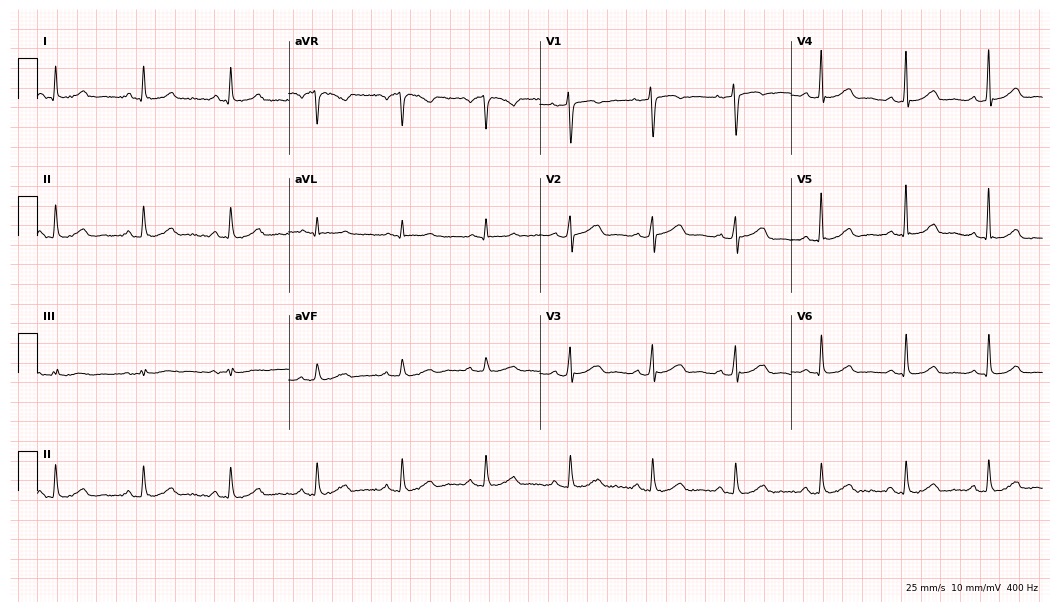
Resting 12-lead electrocardiogram. Patient: a female, 49 years old. Read as a normal ECG.